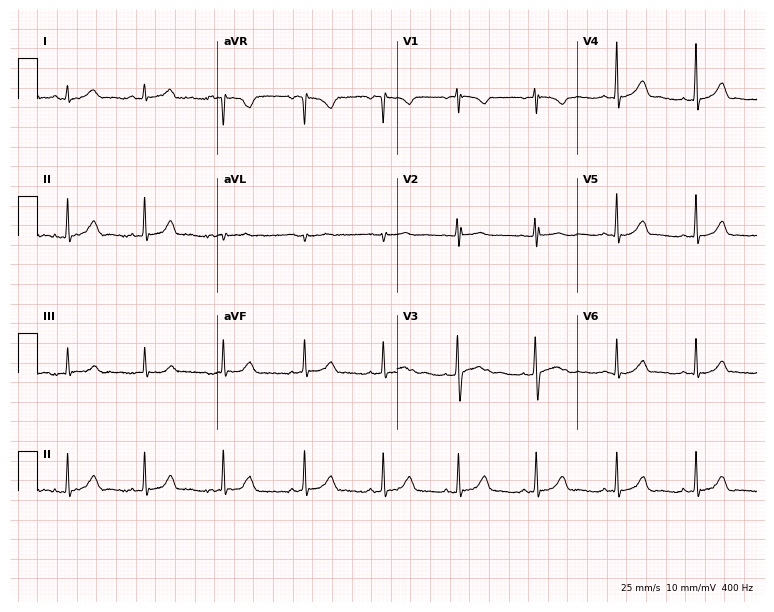
Standard 12-lead ECG recorded from a 20-year-old female patient (7.3-second recording at 400 Hz). Read as a normal ECG.